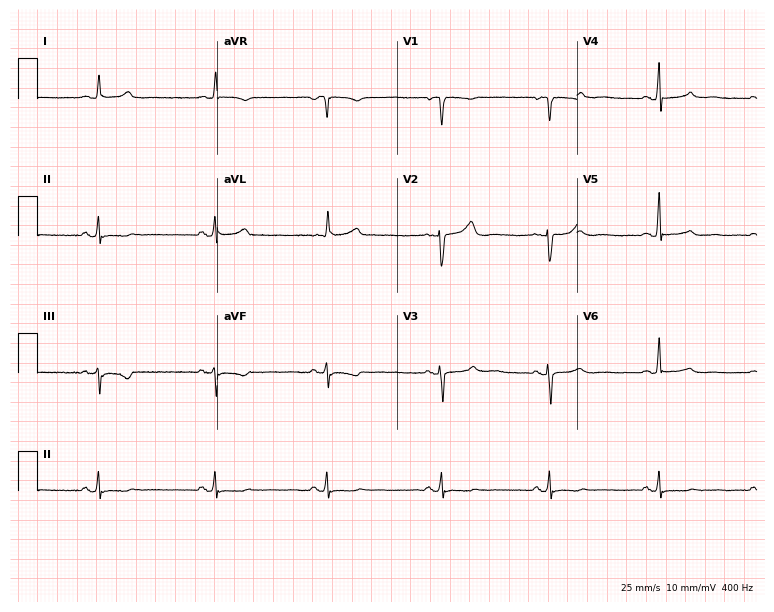
Electrocardiogram (7.3-second recording at 400 Hz), a 61-year-old woman. Of the six screened findings (first-degree AV block, right bundle branch block, left bundle branch block, sinus bradycardia, atrial fibrillation, sinus tachycardia), none is recorded. Only these six findings were labelled.